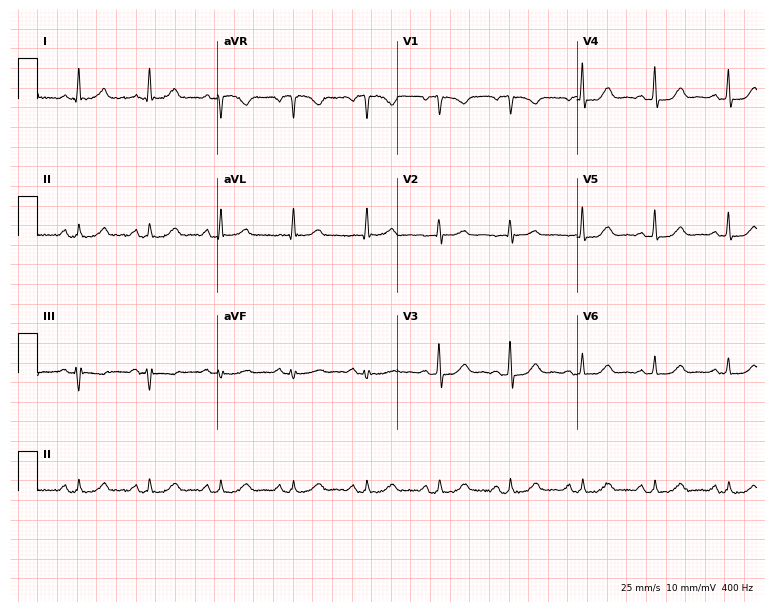
ECG — a 66-year-old female patient. Labelled as a normal ECG.